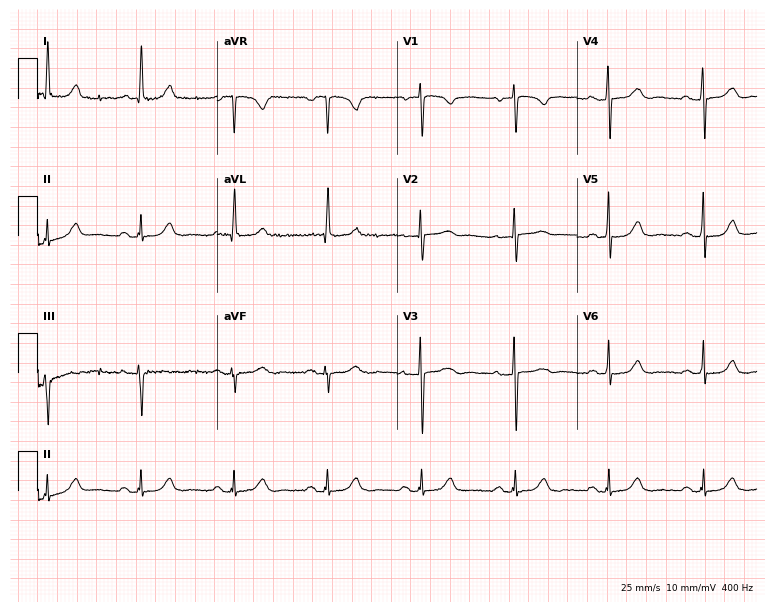
Resting 12-lead electrocardiogram (7.3-second recording at 400 Hz). Patient: a 75-year-old female. None of these six findings is recorded: first-degree AV block, right bundle branch block, left bundle branch block, sinus bradycardia, atrial fibrillation, sinus tachycardia.